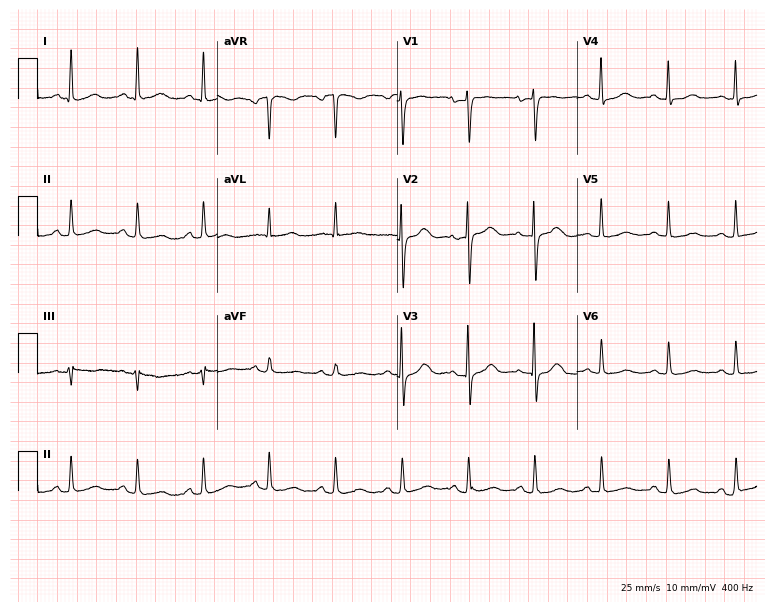
12-lead ECG from a 57-year-old woman (7.3-second recording at 400 Hz). No first-degree AV block, right bundle branch block, left bundle branch block, sinus bradycardia, atrial fibrillation or sinus tachycardia recorded for this tracing. Other findings, if any, are not listed.